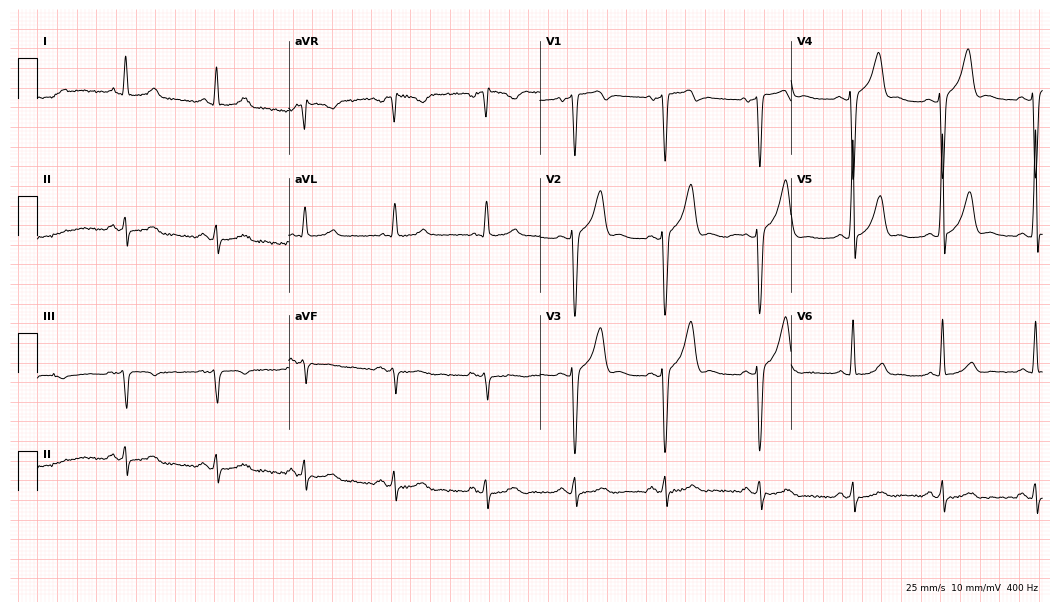
12-lead ECG from a 61-year-old male patient. Labelled as a normal ECG.